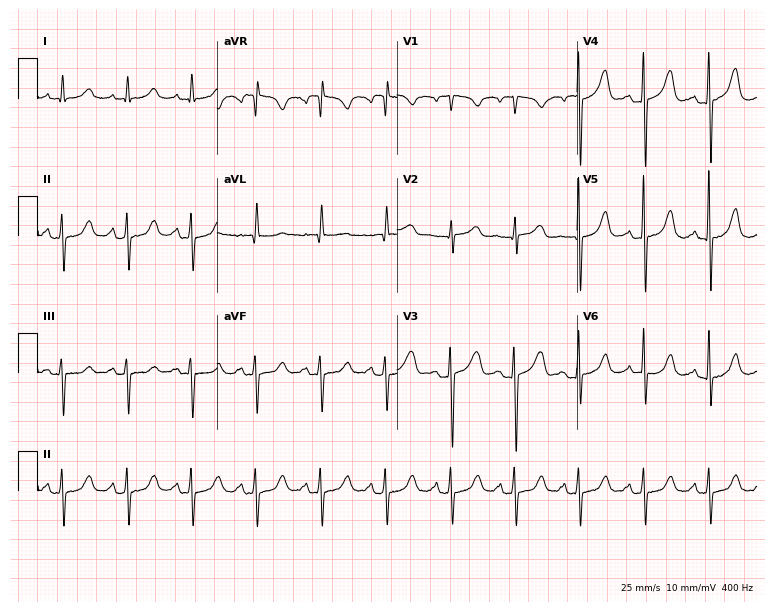
Electrocardiogram (7.3-second recording at 400 Hz), a female patient, 81 years old. Of the six screened findings (first-degree AV block, right bundle branch block (RBBB), left bundle branch block (LBBB), sinus bradycardia, atrial fibrillation (AF), sinus tachycardia), none is recorded.